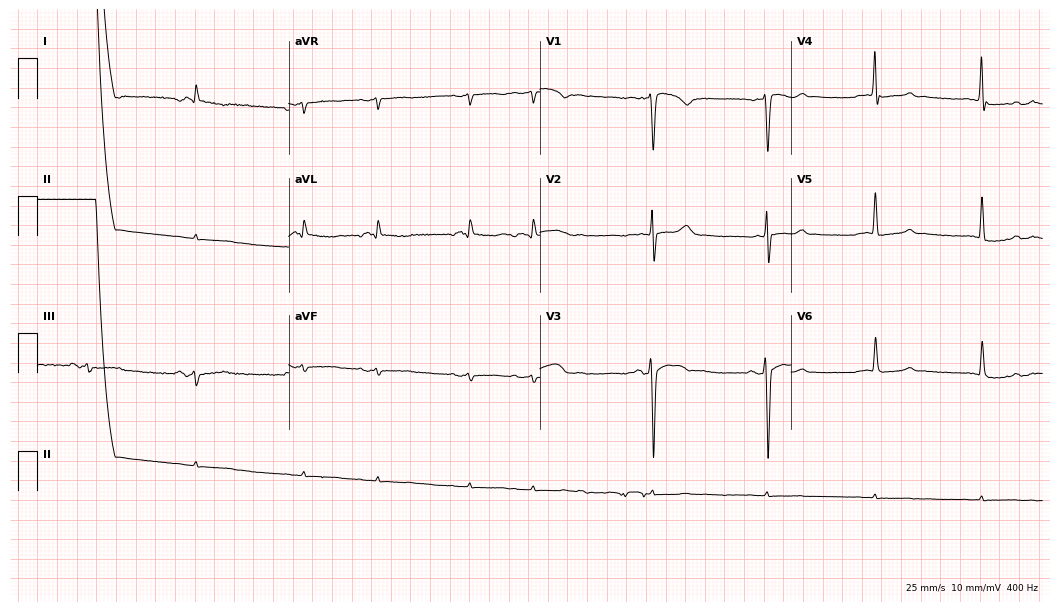
Resting 12-lead electrocardiogram. Patient: a man, 82 years old. None of these six findings is recorded: first-degree AV block, right bundle branch block, left bundle branch block, sinus bradycardia, atrial fibrillation, sinus tachycardia. Findings outside these six are not listed.